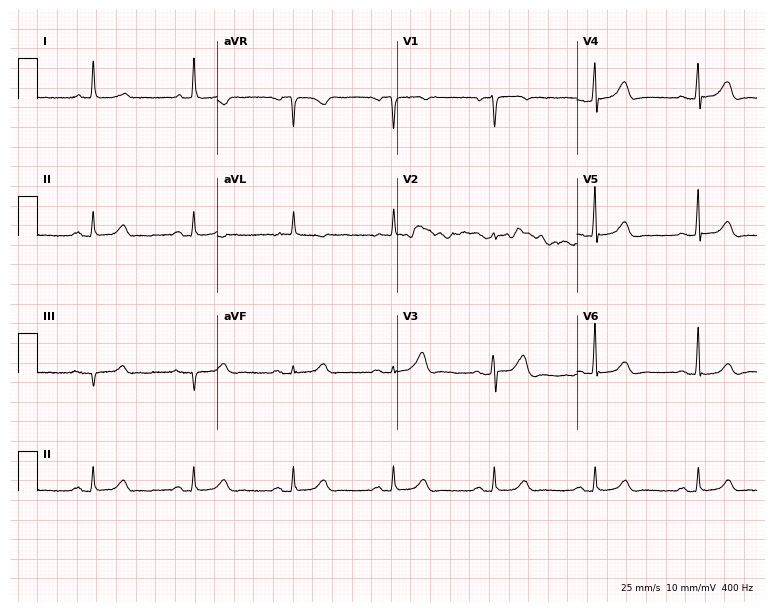
12-lead ECG from an 82-year-old man. Recorded interpretation: within normal limits.